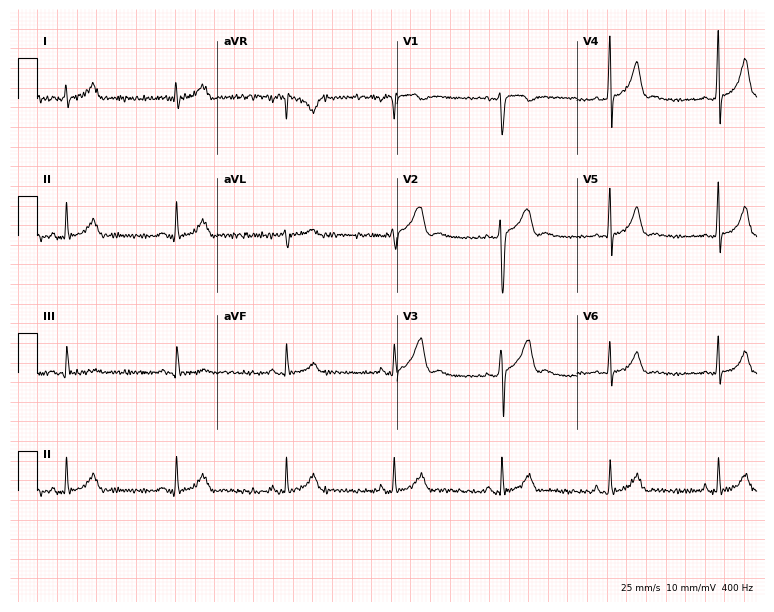
12-lead ECG (7.3-second recording at 400 Hz) from a 32-year-old man. Labelled as a normal ECG.